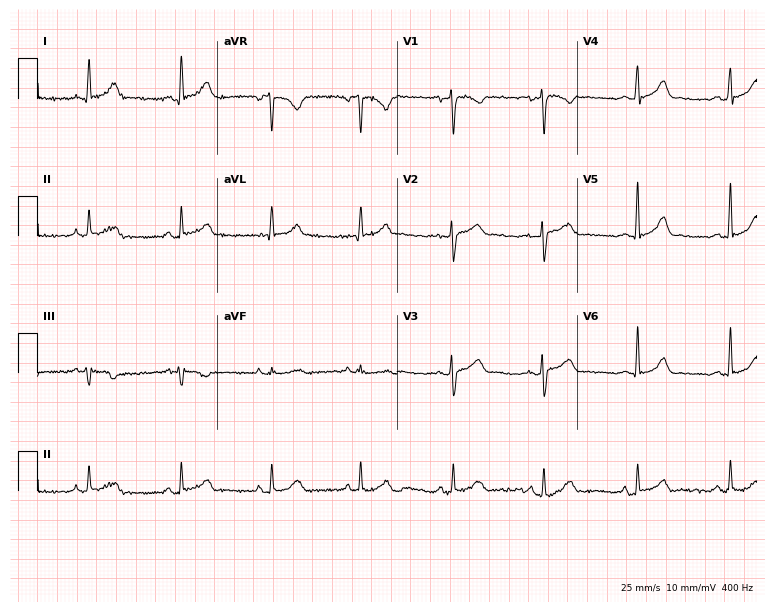
Resting 12-lead electrocardiogram (7.3-second recording at 400 Hz). Patient: a woman, 36 years old. Read as a normal ECG.